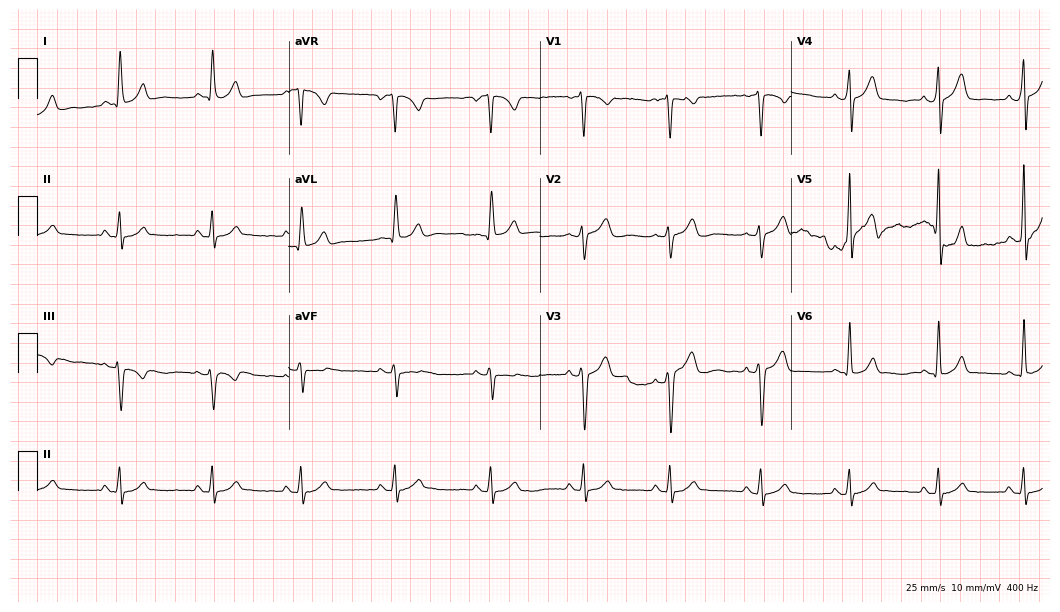
Standard 12-lead ECG recorded from a man, 37 years old. Read as a normal ECG.